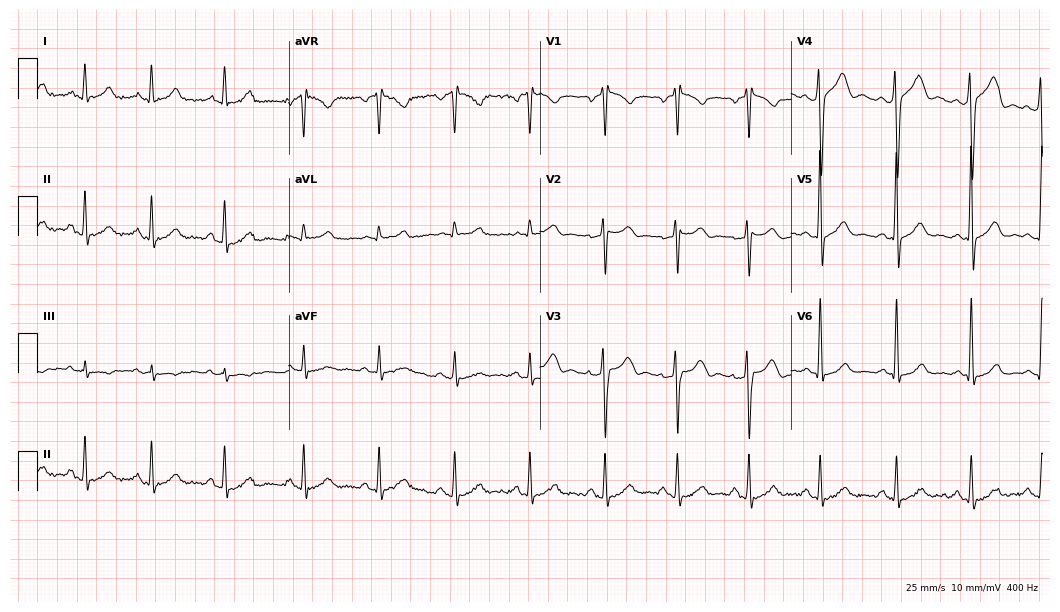
Standard 12-lead ECG recorded from a 38-year-old male patient. None of these six findings is recorded: first-degree AV block, right bundle branch block, left bundle branch block, sinus bradycardia, atrial fibrillation, sinus tachycardia.